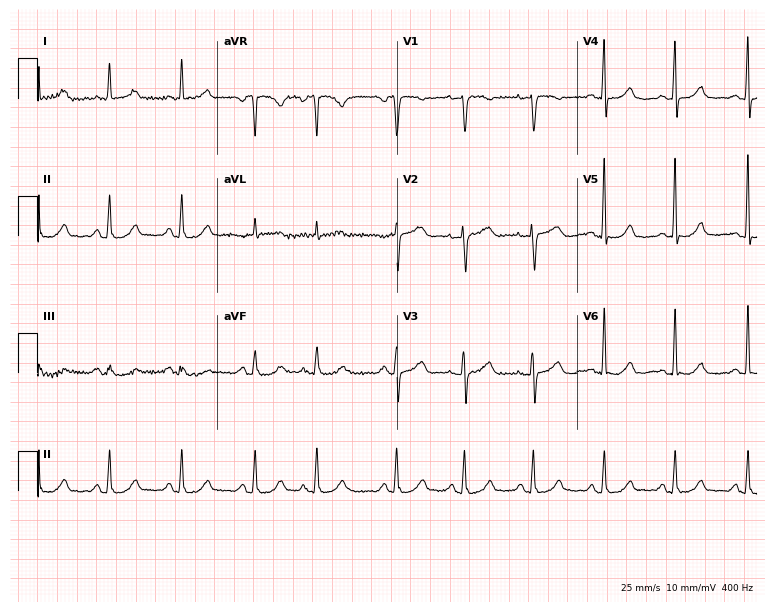
ECG — a female, 64 years old. Screened for six findings — first-degree AV block, right bundle branch block, left bundle branch block, sinus bradycardia, atrial fibrillation, sinus tachycardia — none is recorded. Only these six findings were labelled.